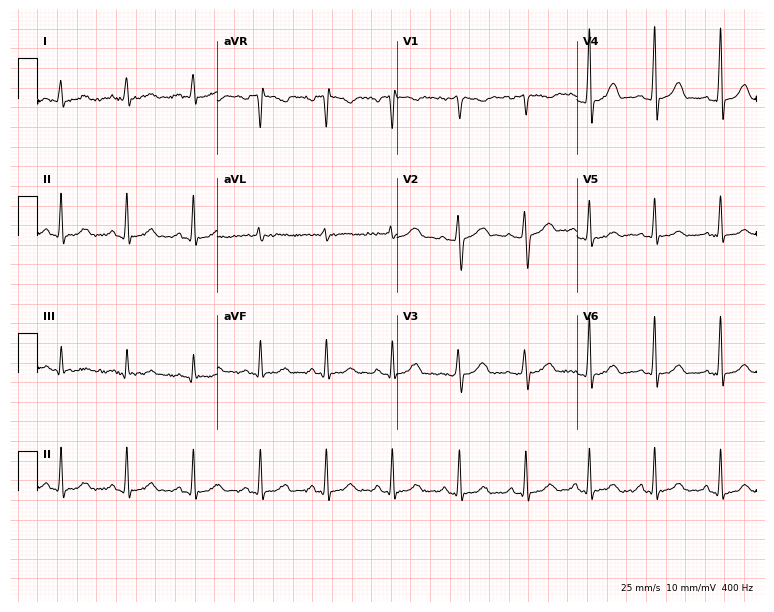
ECG (7.3-second recording at 400 Hz) — a 40-year-old female patient. Screened for six findings — first-degree AV block, right bundle branch block, left bundle branch block, sinus bradycardia, atrial fibrillation, sinus tachycardia — none is recorded. Findings outside these six are not listed.